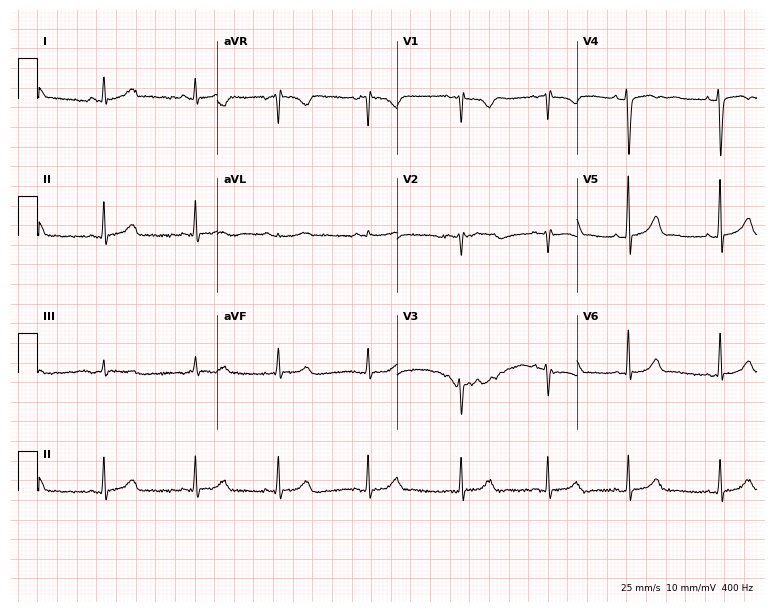
12-lead ECG from a 19-year-old female (7.3-second recording at 400 Hz). No first-degree AV block, right bundle branch block, left bundle branch block, sinus bradycardia, atrial fibrillation or sinus tachycardia recorded for this tracing.